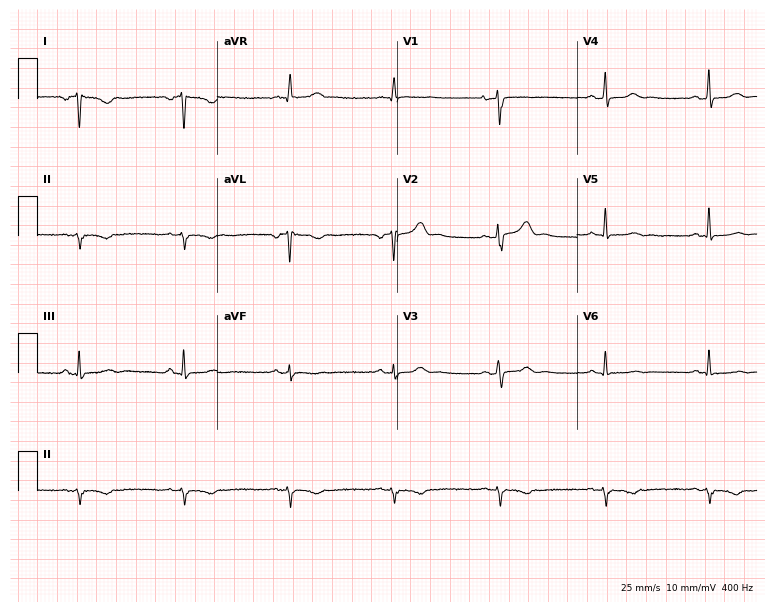
ECG (7.3-second recording at 400 Hz) — a female, 49 years old. Screened for six findings — first-degree AV block, right bundle branch block, left bundle branch block, sinus bradycardia, atrial fibrillation, sinus tachycardia — none is recorded. Only these six findings were labelled.